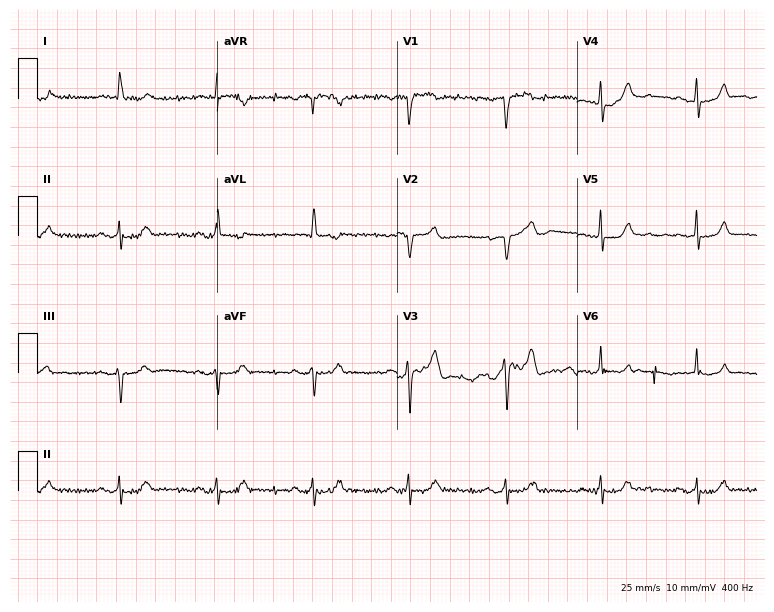
Resting 12-lead electrocardiogram (7.3-second recording at 400 Hz). Patient: a male, 74 years old. Read as a normal ECG.